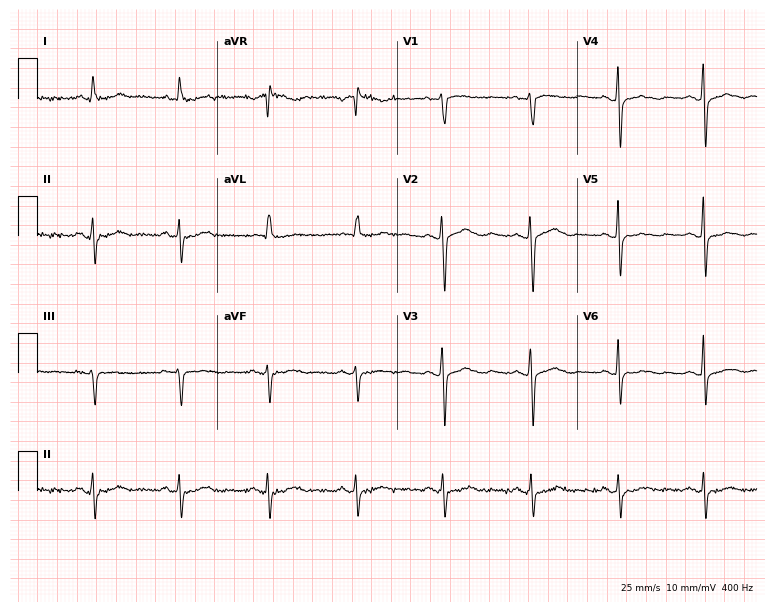
Resting 12-lead electrocardiogram (7.3-second recording at 400 Hz). Patient: a woman, 66 years old. None of these six findings is recorded: first-degree AV block, right bundle branch block, left bundle branch block, sinus bradycardia, atrial fibrillation, sinus tachycardia.